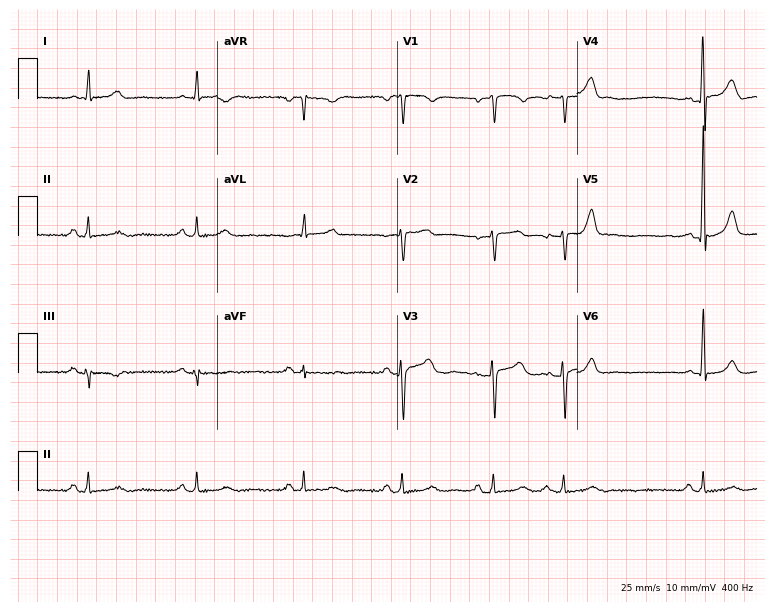
12-lead ECG from an 85-year-old male patient. Labelled as a normal ECG.